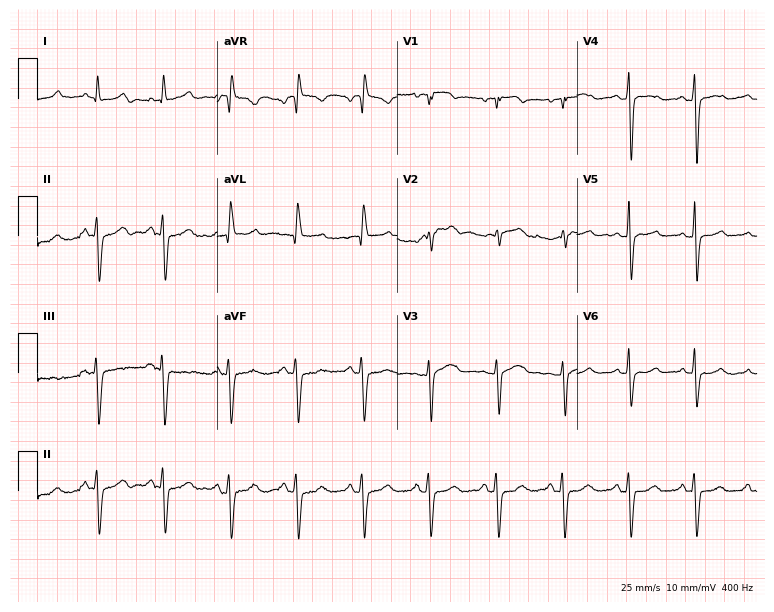
Resting 12-lead electrocardiogram (7.3-second recording at 400 Hz). Patient: a man, 52 years old. None of these six findings is recorded: first-degree AV block, right bundle branch block, left bundle branch block, sinus bradycardia, atrial fibrillation, sinus tachycardia. Only these six findings were labelled.